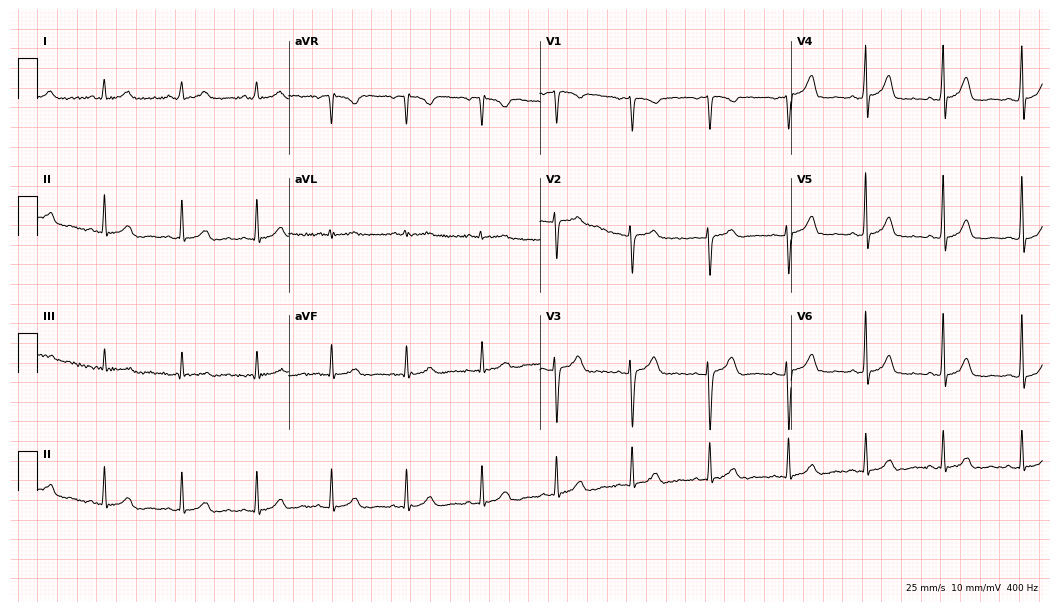
Standard 12-lead ECG recorded from a female, 43 years old. Read as a normal ECG.